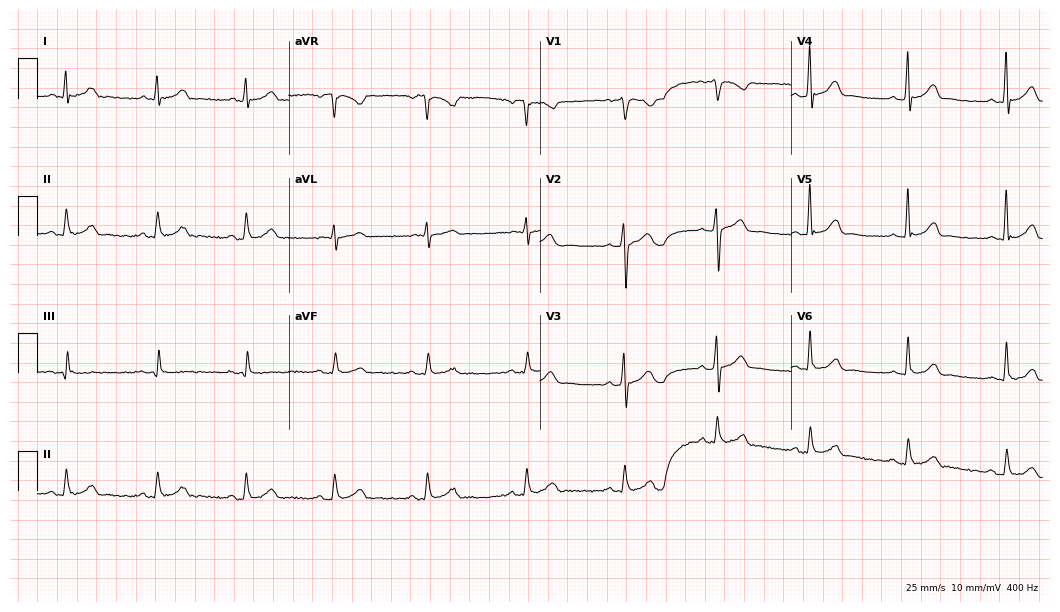
12-lead ECG from a 30-year-old male patient. No first-degree AV block, right bundle branch block, left bundle branch block, sinus bradycardia, atrial fibrillation or sinus tachycardia recorded for this tracing. Findings outside these six are not listed.